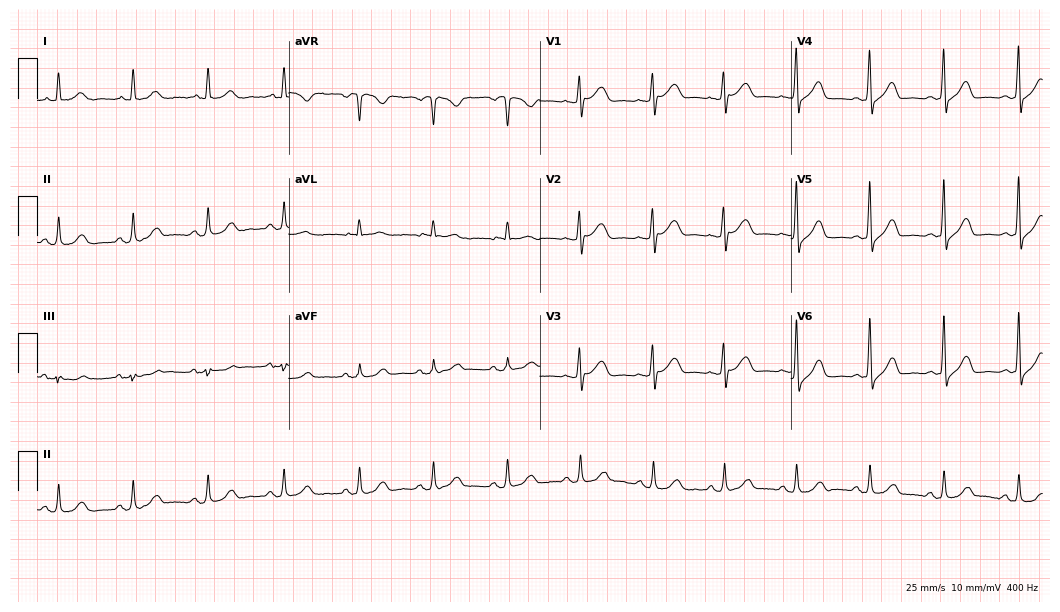
Resting 12-lead electrocardiogram (10.2-second recording at 400 Hz). Patient: a female, 64 years old. Read as a normal ECG.